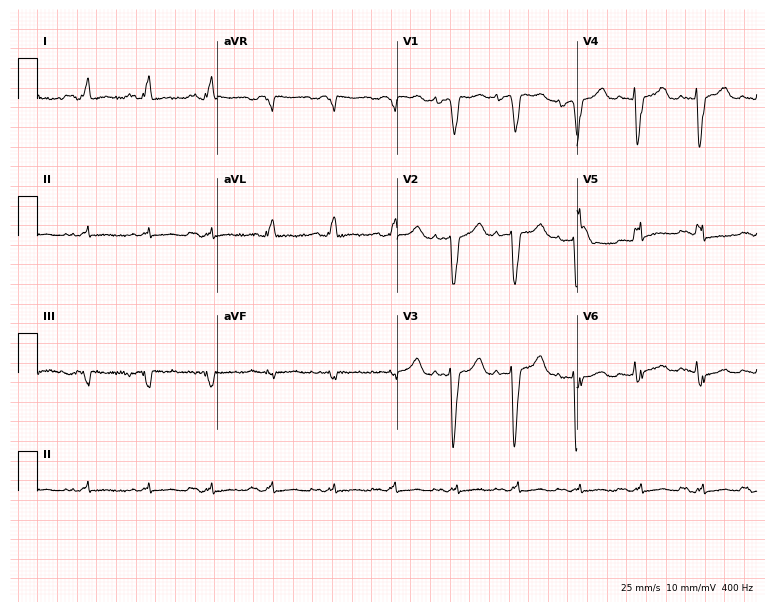
Electrocardiogram, a man, 46 years old. Of the six screened findings (first-degree AV block, right bundle branch block (RBBB), left bundle branch block (LBBB), sinus bradycardia, atrial fibrillation (AF), sinus tachycardia), none is recorded.